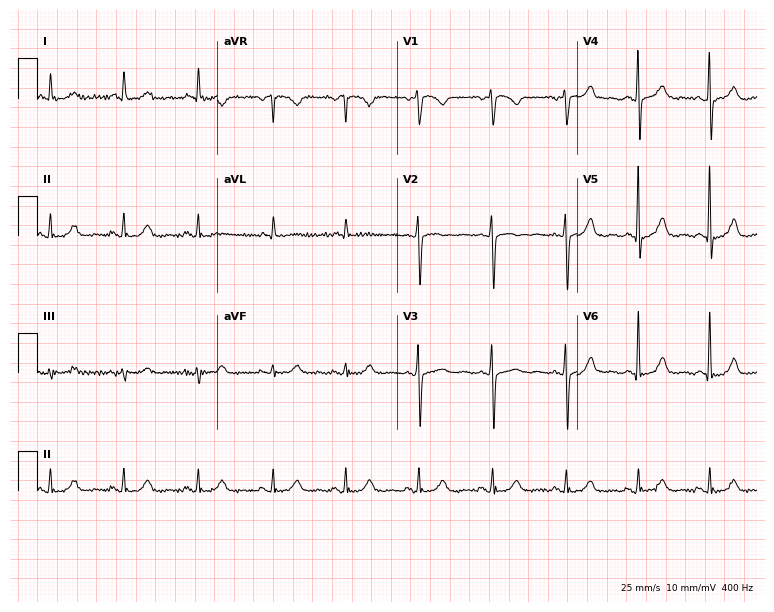
12-lead ECG from a 61-year-old woman. Recorded interpretation: within normal limits.